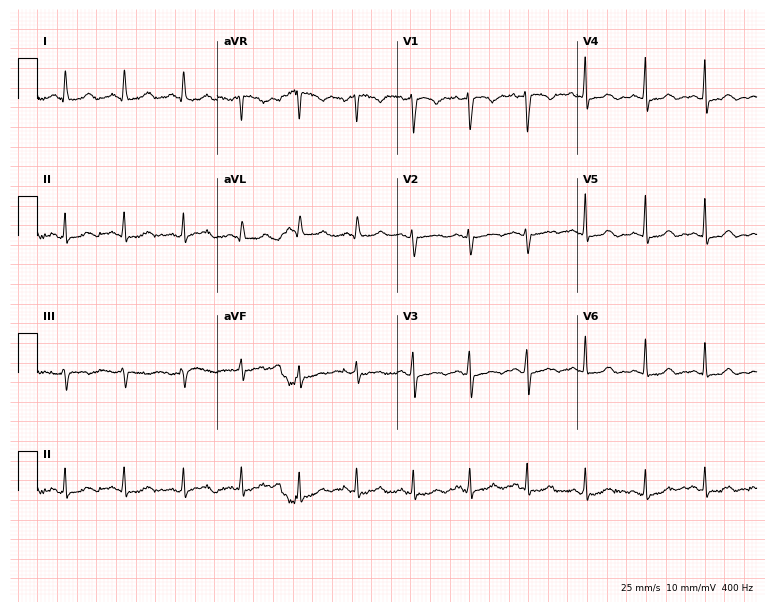
ECG (7.3-second recording at 400 Hz) — a female, 19 years old. Labelled as a normal ECG.